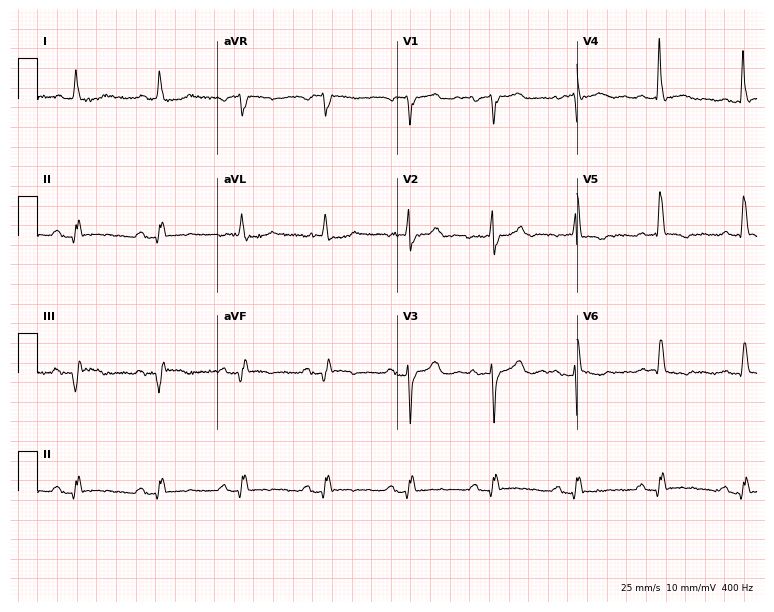
12-lead ECG (7.3-second recording at 400 Hz) from an 82-year-old woman. Screened for six findings — first-degree AV block, right bundle branch block (RBBB), left bundle branch block (LBBB), sinus bradycardia, atrial fibrillation (AF), sinus tachycardia — none is recorded.